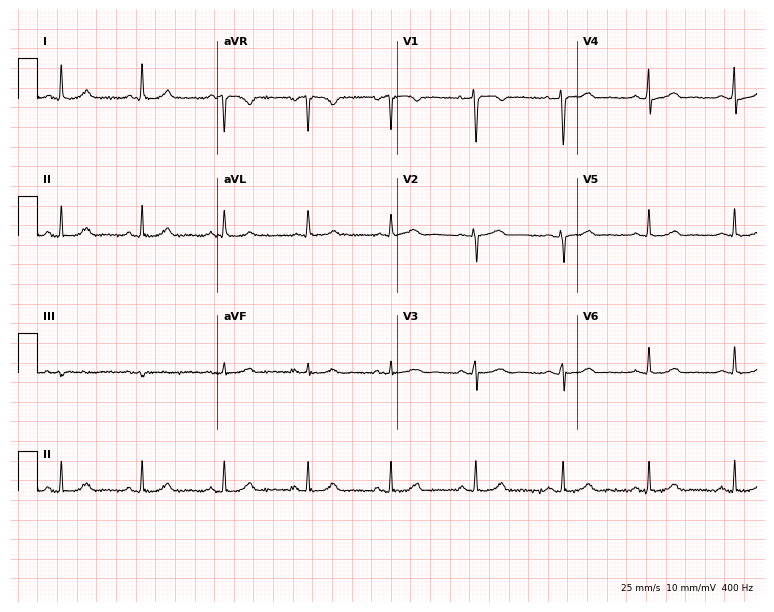
Resting 12-lead electrocardiogram. Patient: a 46-year-old woman. Read as a normal ECG.